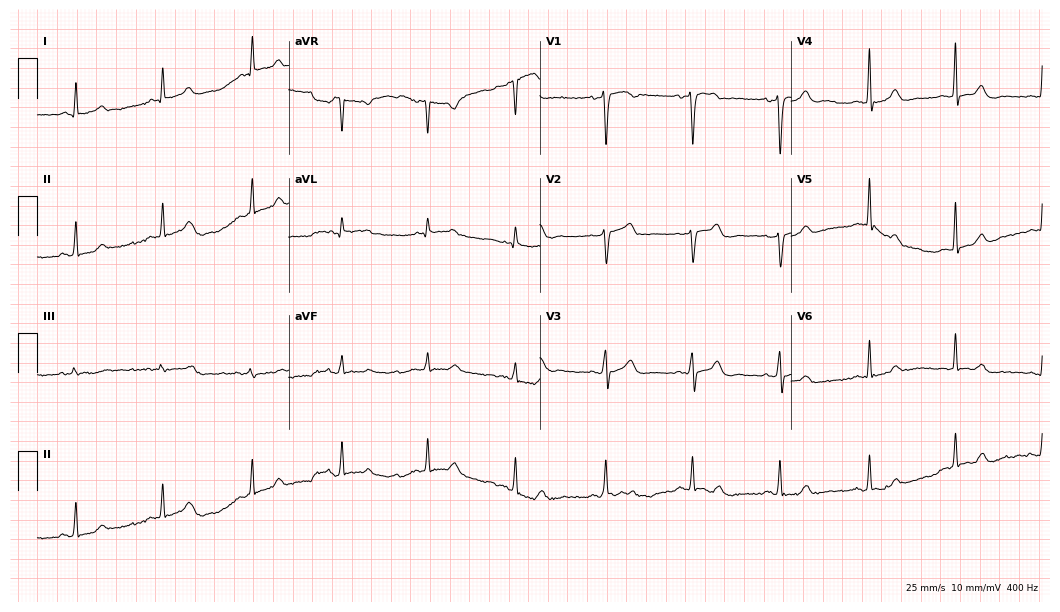
12-lead ECG from a female patient, 38 years old. Labelled as a normal ECG.